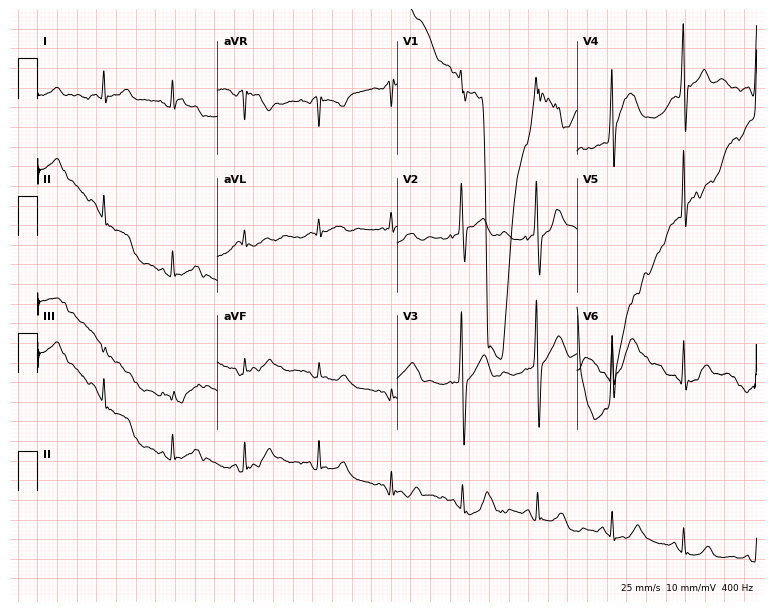
Standard 12-lead ECG recorded from a male patient, 18 years old. None of these six findings is recorded: first-degree AV block, right bundle branch block, left bundle branch block, sinus bradycardia, atrial fibrillation, sinus tachycardia. Findings outside these six are not listed.